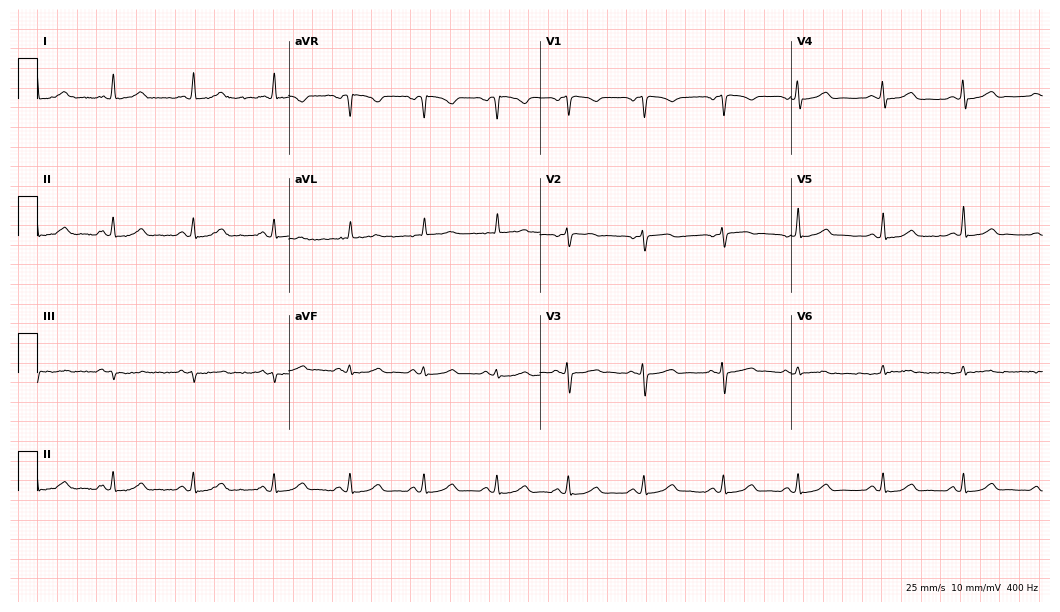
ECG (10.2-second recording at 400 Hz) — a 41-year-old woman. Labelled as a normal ECG.